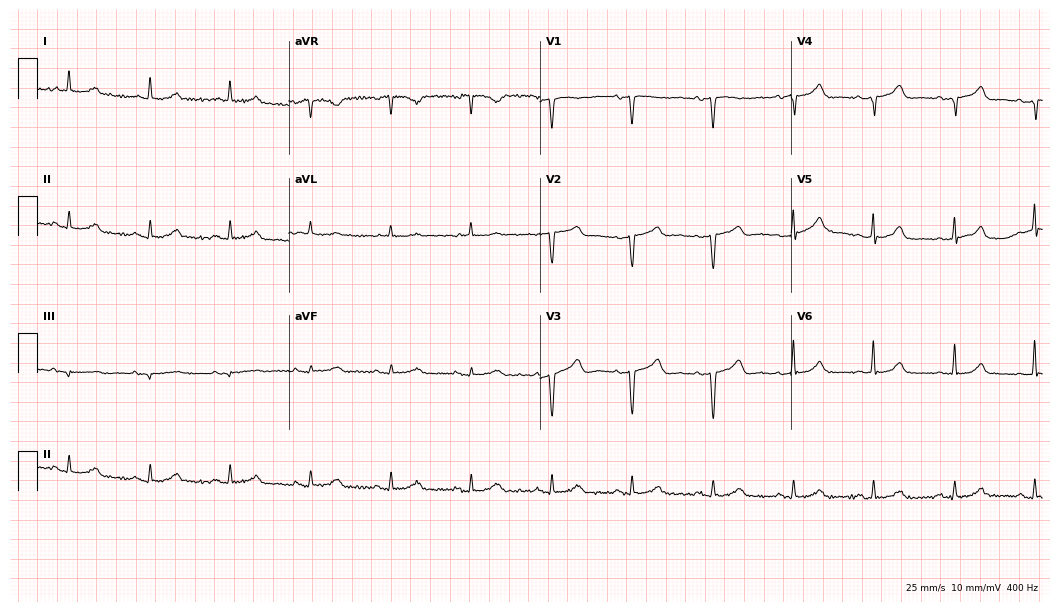
Electrocardiogram (10.2-second recording at 400 Hz), a 64-year-old female patient. Overall reading on record: normal ECG.